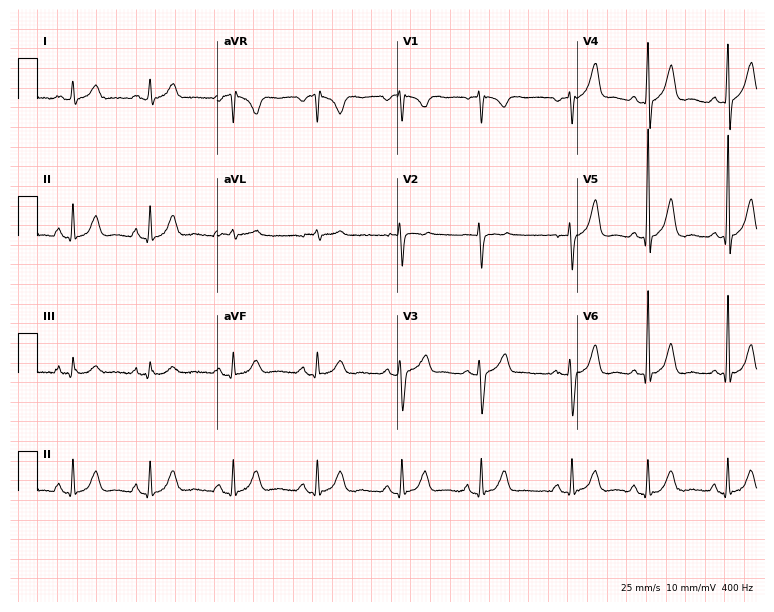
Resting 12-lead electrocardiogram. Patient: a 49-year-old man. Read as a normal ECG.